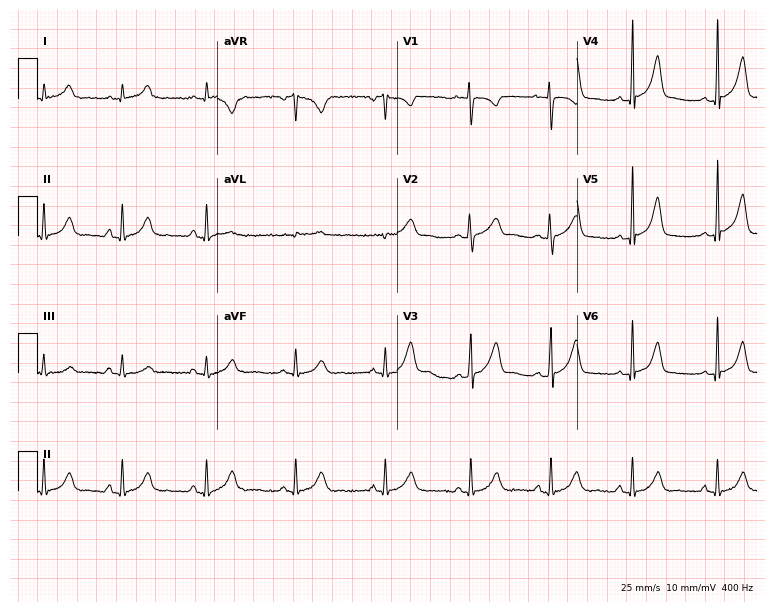
12-lead ECG from a 27-year-old woman. No first-degree AV block, right bundle branch block, left bundle branch block, sinus bradycardia, atrial fibrillation or sinus tachycardia recorded for this tracing.